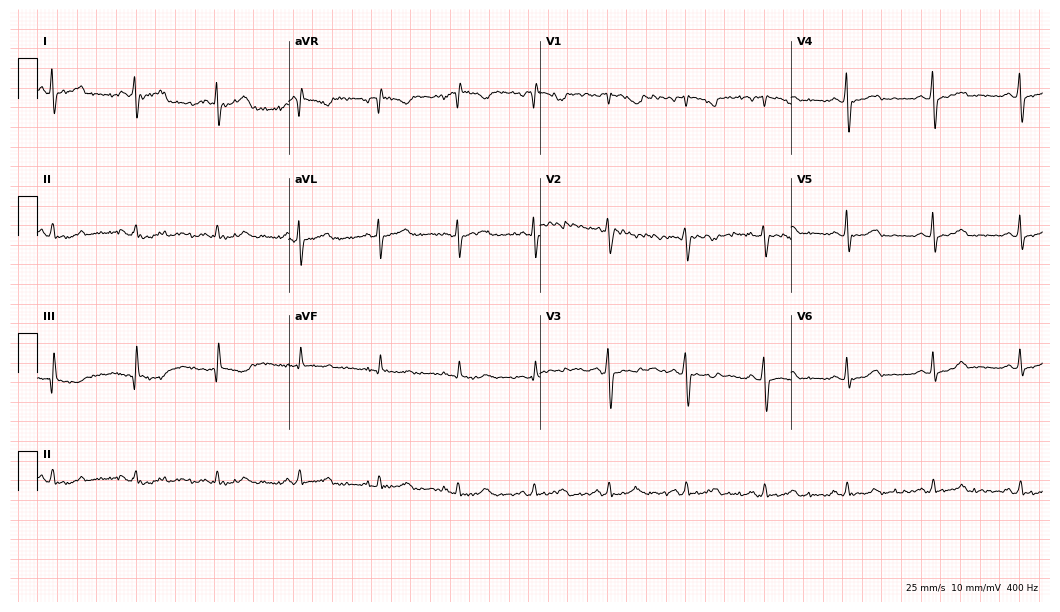
12-lead ECG from a woman, 42 years old (10.2-second recording at 400 Hz). No first-degree AV block, right bundle branch block (RBBB), left bundle branch block (LBBB), sinus bradycardia, atrial fibrillation (AF) or sinus tachycardia recorded for this tracing.